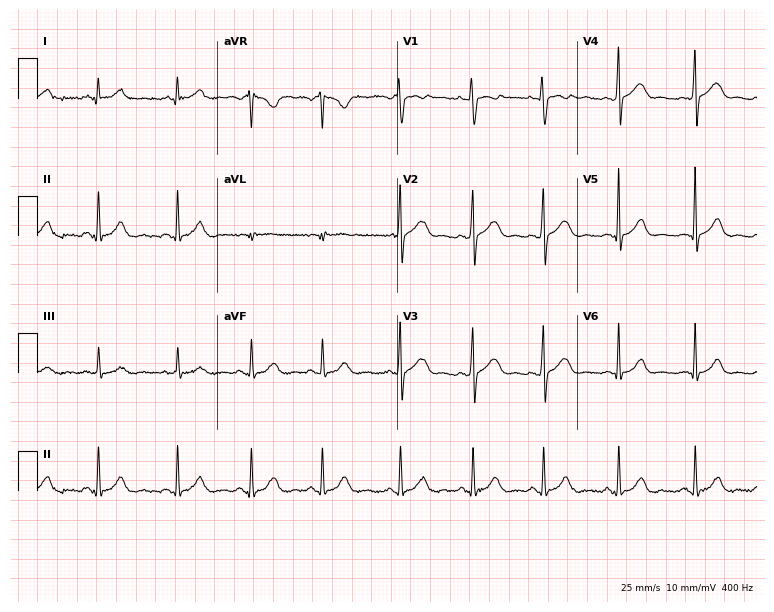
Resting 12-lead electrocardiogram (7.3-second recording at 400 Hz). Patient: a 25-year-old woman. Read as a normal ECG.